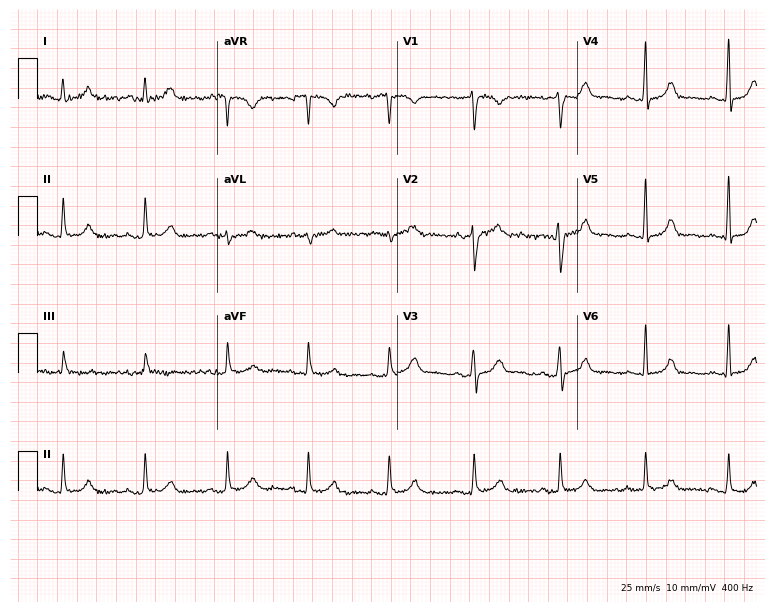
Resting 12-lead electrocardiogram. Patient: a woman, 39 years old. None of these six findings is recorded: first-degree AV block, right bundle branch block, left bundle branch block, sinus bradycardia, atrial fibrillation, sinus tachycardia.